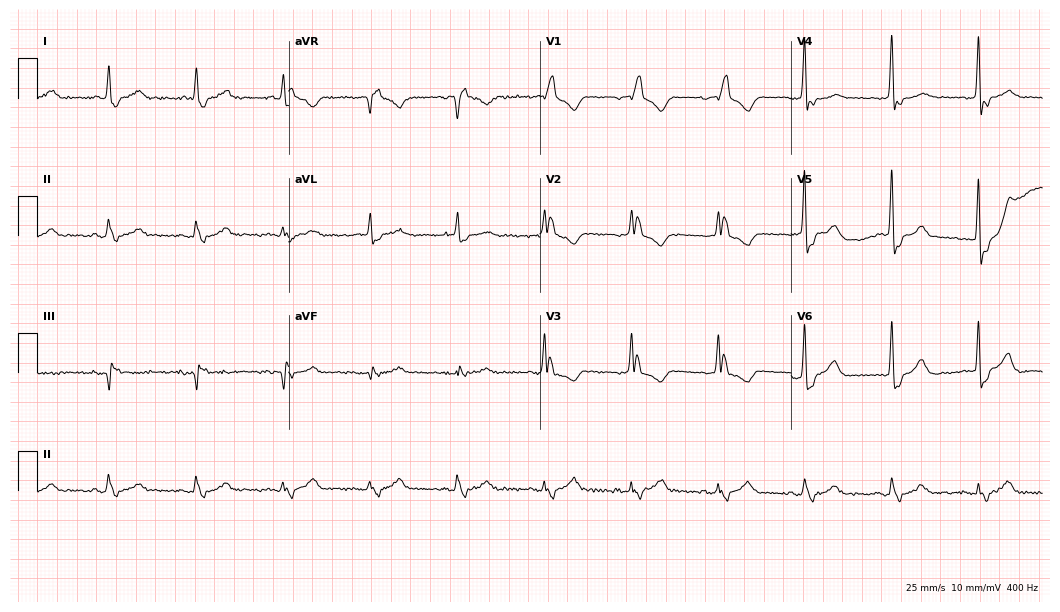
Electrocardiogram (10.2-second recording at 400 Hz), a male patient, 60 years old. Interpretation includes right bundle branch block (RBBB).